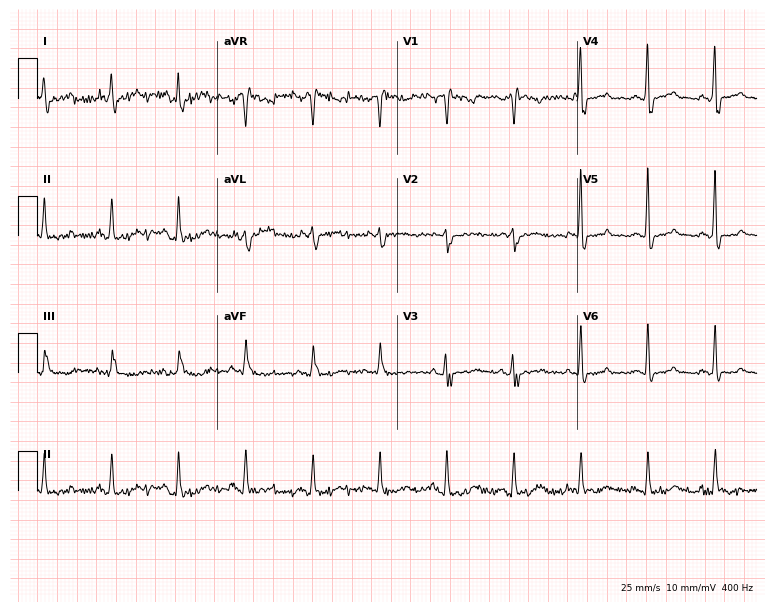
12-lead ECG from a man, 68 years old. Screened for six findings — first-degree AV block, right bundle branch block, left bundle branch block, sinus bradycardia, atrial fibrillation, sinus tachycardia — none is recorded. Only these six findings were labelled.